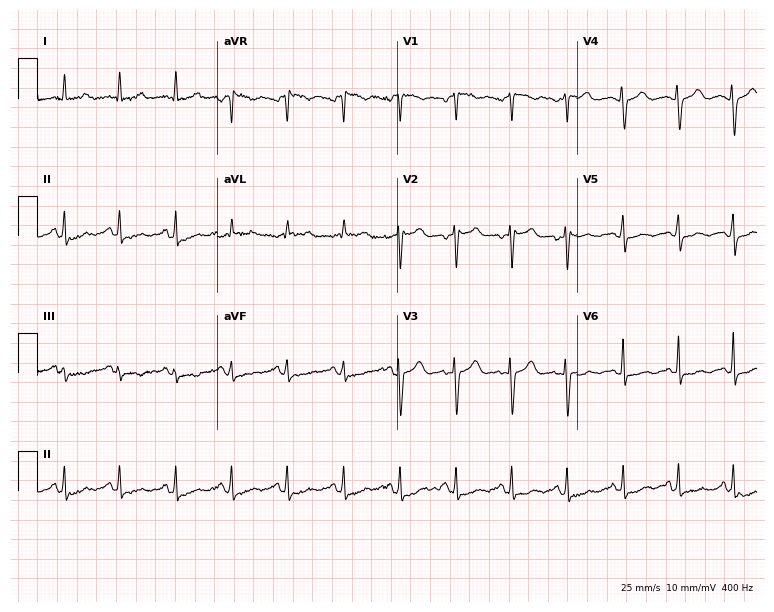
Resting 12-lead electrocardiogram. Patient: a 43-year-old female. The tracing shows sinus tachycardia (a sinus rate of 100 beats per minute or more).